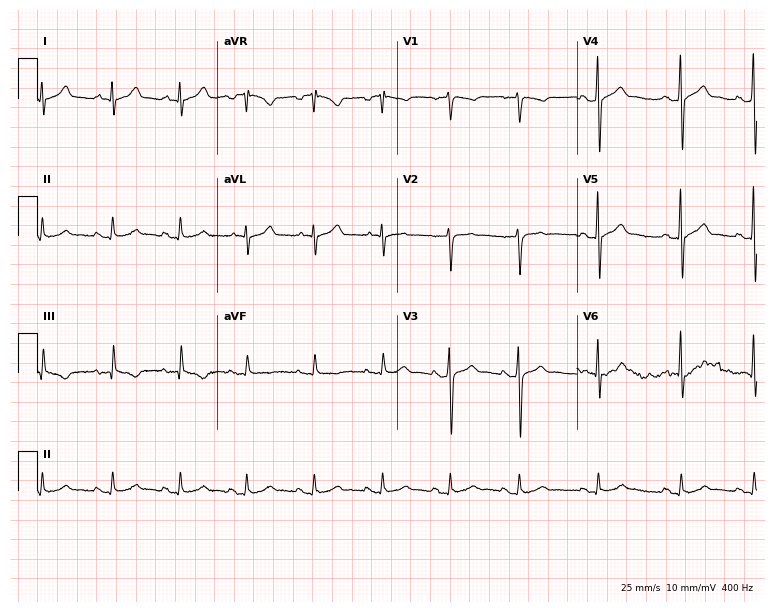
Electrocardiogram (7.3-second recording at 400 Hz), a 34-year-old man. Overall reading on record: normal ECG.